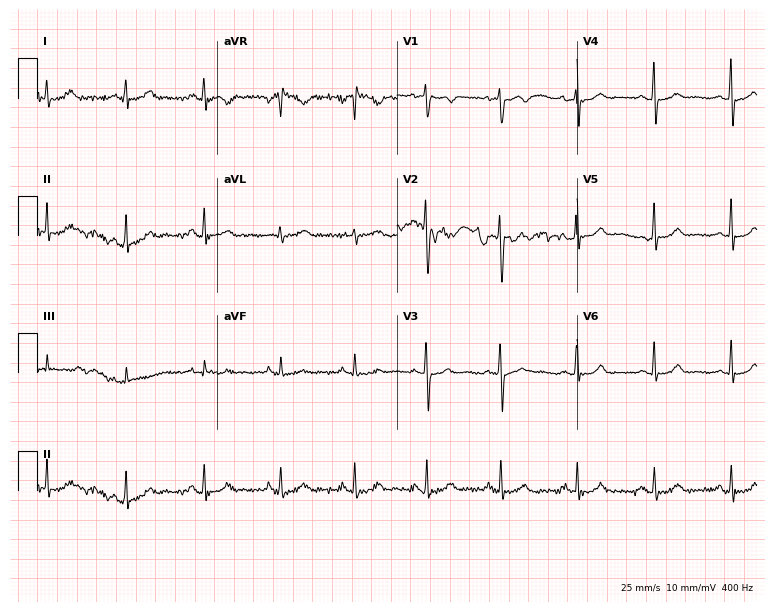
Electrocardiogram, a 43-year-old woman. Of the six screened findings (first-degree AV block, right bundle branch block, left bundle branch block, sinus bradycardia, atrial fibrillation, sinus tachycardia), none is recorded.